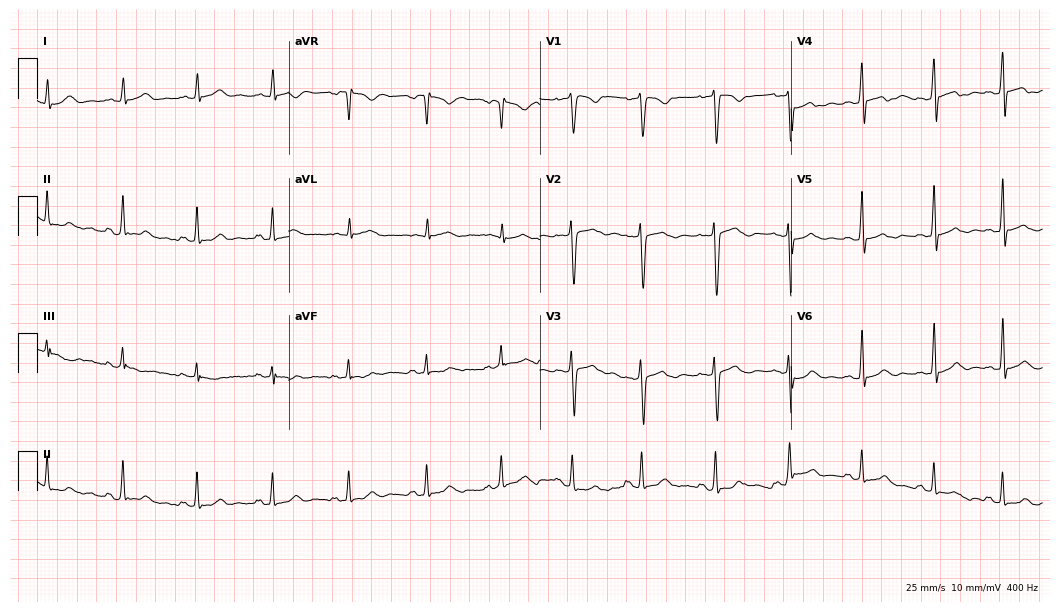
Electrocardiogram, a female patient, 20 years old. Overall reading on record: normal ECG.